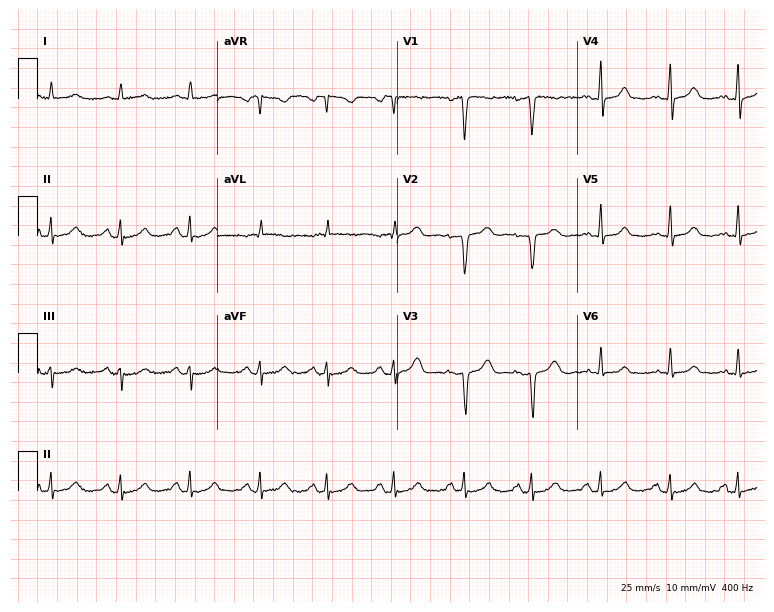
12-lead ECG from a woman, 38 years old. No first-degree AV block, right bundle branch block (RBBB), left bundle branch block (LBBB), sinus bradycardia, atrial fibrillation (AF) or sinus tachycardia recorded for this tracing.